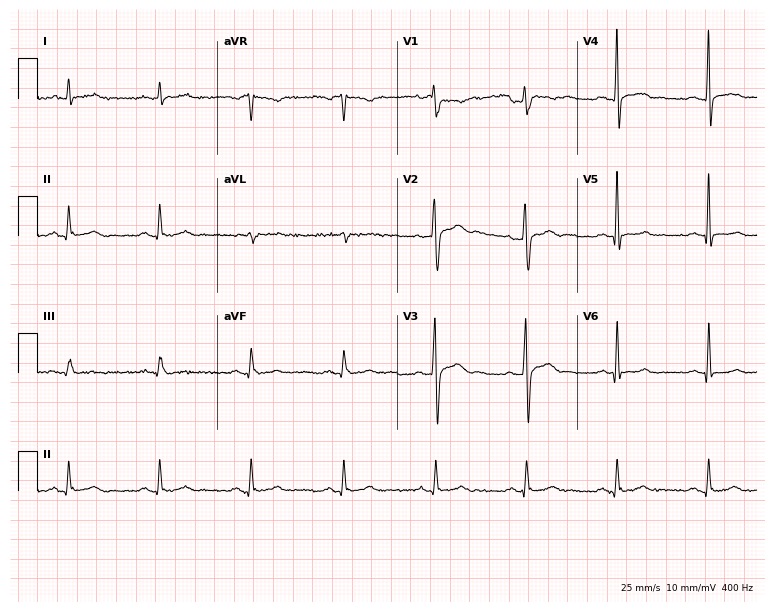
Standard 12-lead ECG recorded from a 44-year-old male patient. Read as a normal ECG.